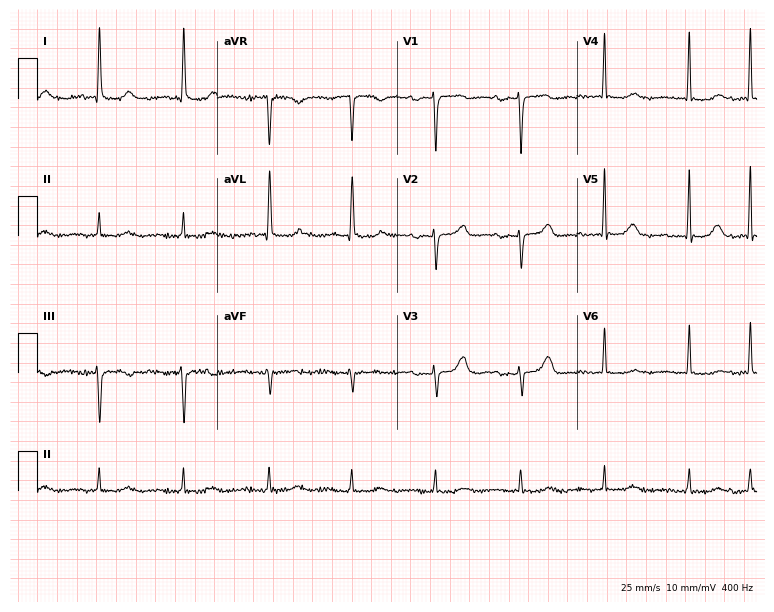
12-lead ECG (7.3-second recording at 400 Hz) from an 81-year-old female patient. Findings include first-degree AV block.